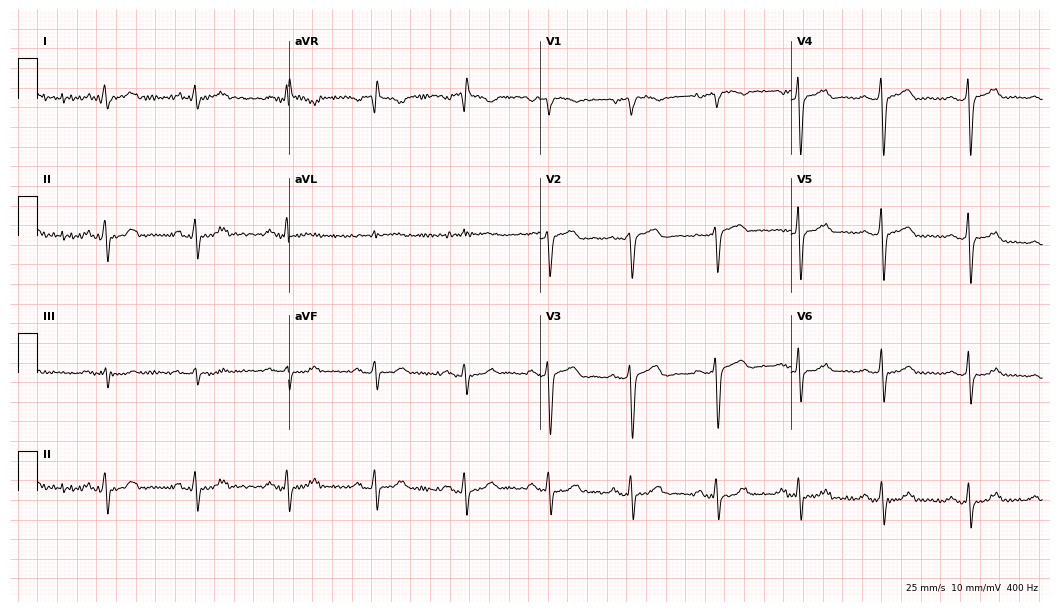
Electrocardiogram, a 57-year-old male patient. Of the six screened findings (first-degree AV block, right bundle branch block, left bundle branch block, sinus bradycardia, atrial fibrillation, sinus tachycardia), none is recorded.